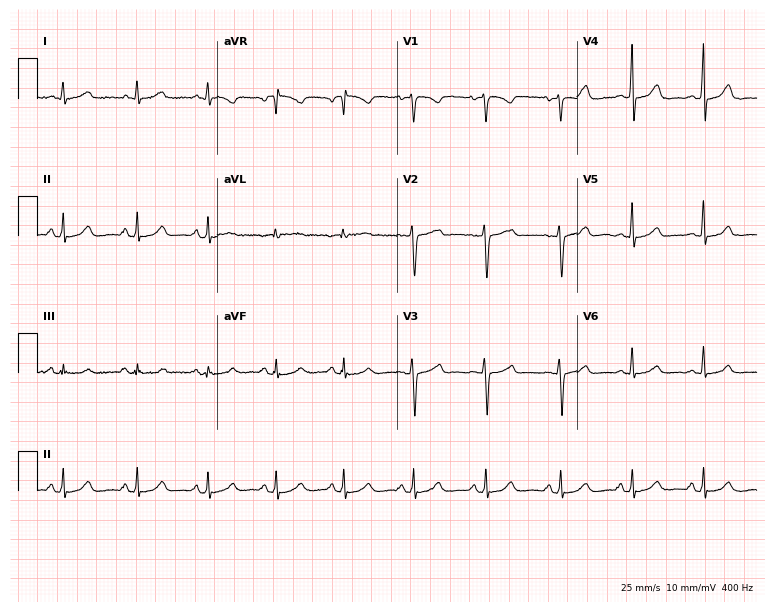
Standard 12-lead ECG recorded from a 39-year-old female. None of these six findings is recorded: first-degree AV block, right bundle branch block, left bundle branch block, sinus bradycardia, atrial fibrillation, sinus tachycardia.